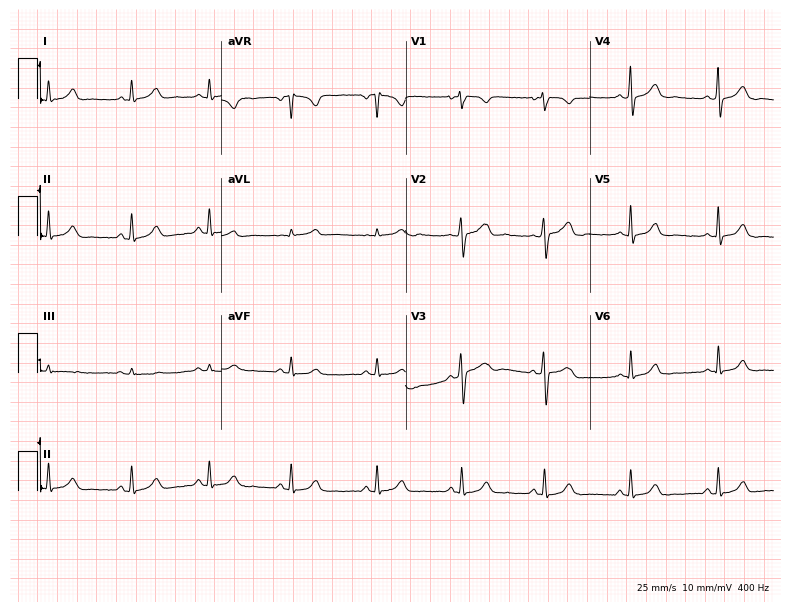
Electrocardiogram (7.5-second recording at 400 Hz), an 80-year-old female. Overall reading on record: normal ECG.